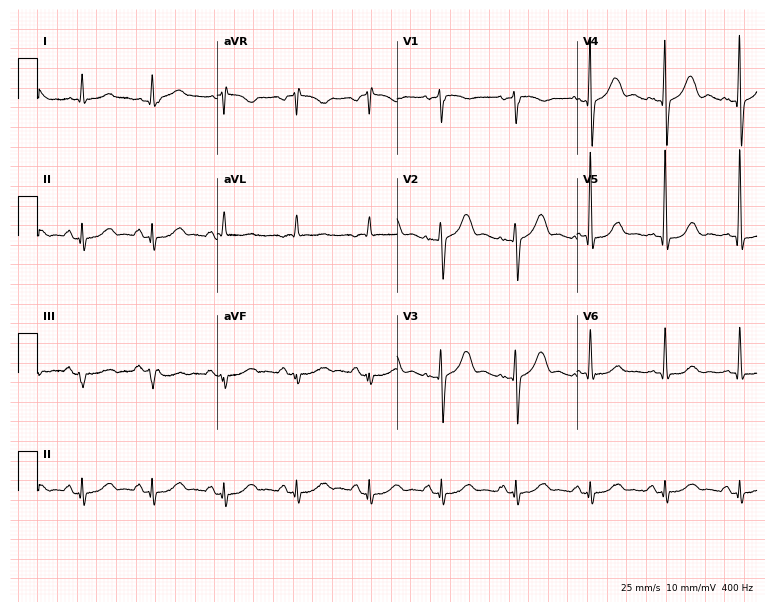
12-lead ECG (7.3-second recording at 400 Hz) from a 67-year-old male. Screened for six findings — first-degree AV block, right bundle branch block, left bundle branch block, sinus bradycardia, atrial fibrillation, sinus tachycardia — none is recorded. Only these six findings were labelled.